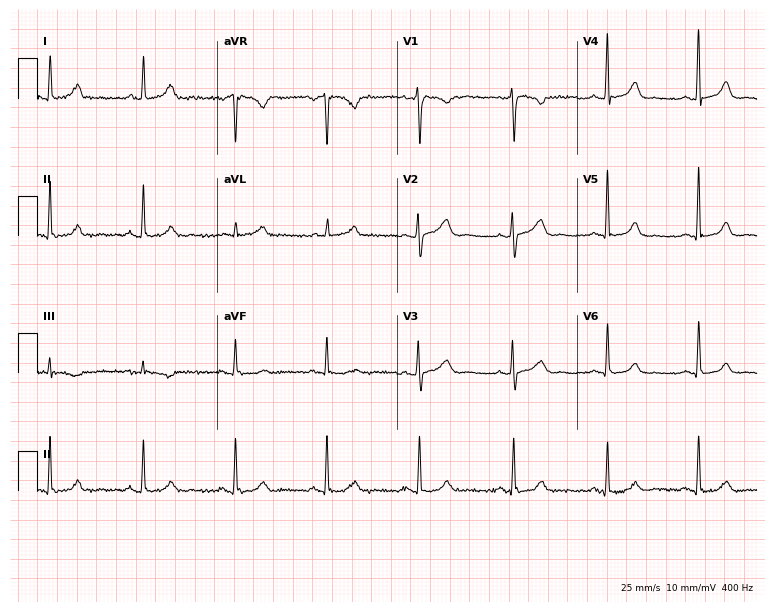
Resting 12-lead electrocardiogram (7.3-second recording at 400 Hz). Patient: a female, 52 years old. None of these six findings is recorded: first-degree AV block, right bundle branch block, left bundle branch block, sinus bradycardia, atrial fibrillation, sinus tachycardia.